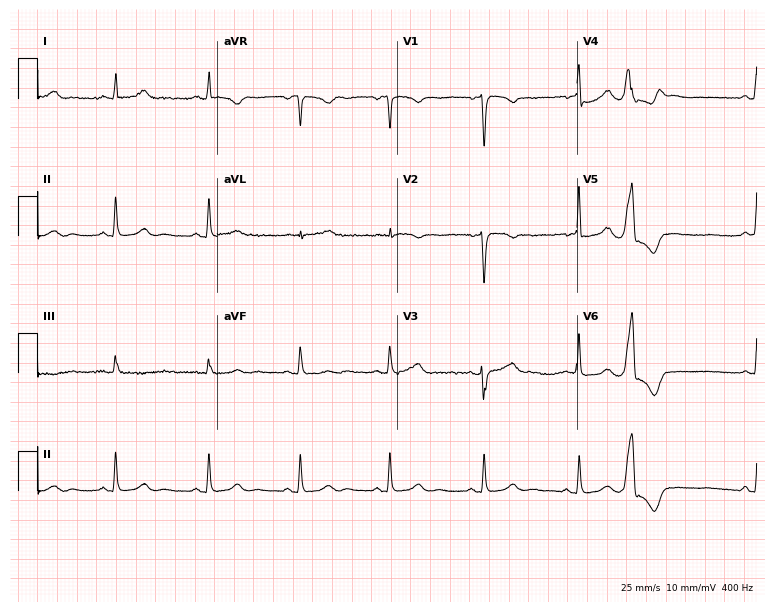
Electrocardiogram, a 38-year-old female patient. Overall reading on record: normal ECG.